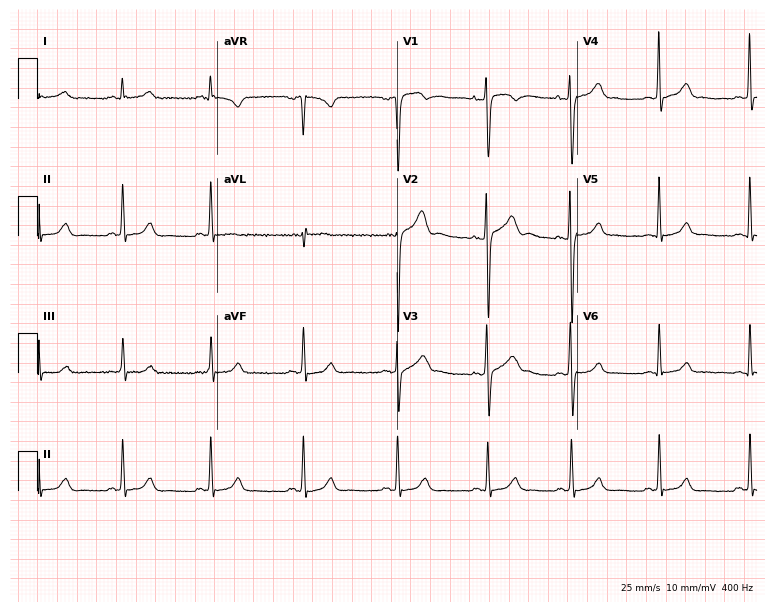
Resting 12-lead electrocardiogram (7.3-second recording at 400 Hz). Patient: a man, 28 years old. Read as a normal ECG.